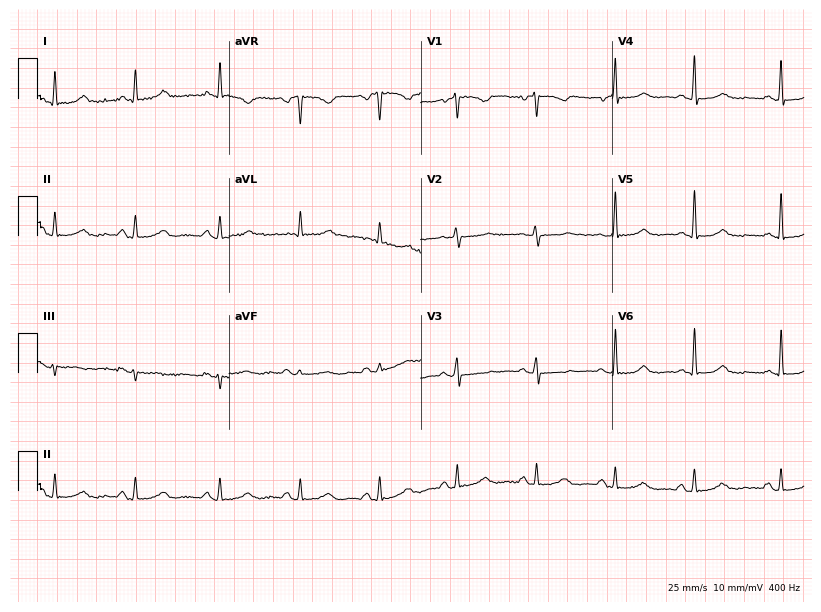
Electrocardiogram, a woman, 62 years old. Overall reading on record: normal ECG.